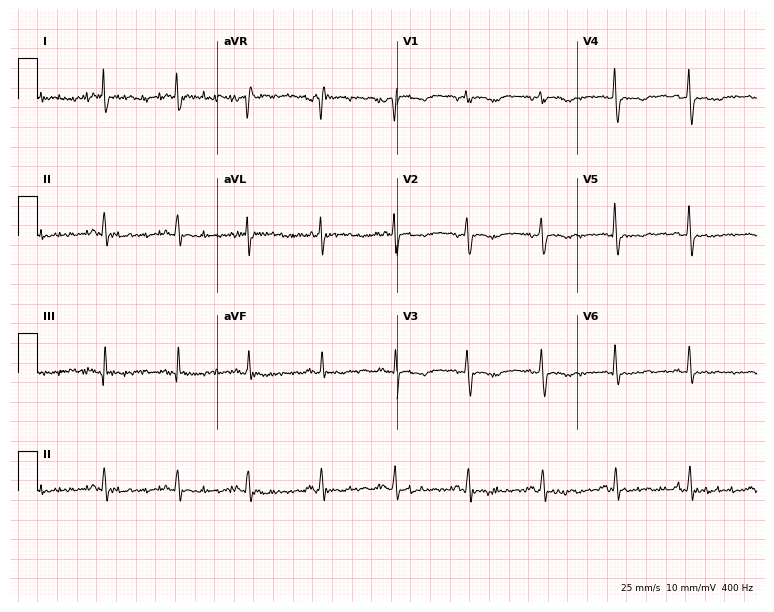
12-lead ECG from a female, 55 years old (7.3-second recording at 400 Hz). No first-degree AV block, right bundle branch block, left bundle branch block, sinus bradycardia, atrial fibrillation or sinus tachycardia recorded for this tracing.